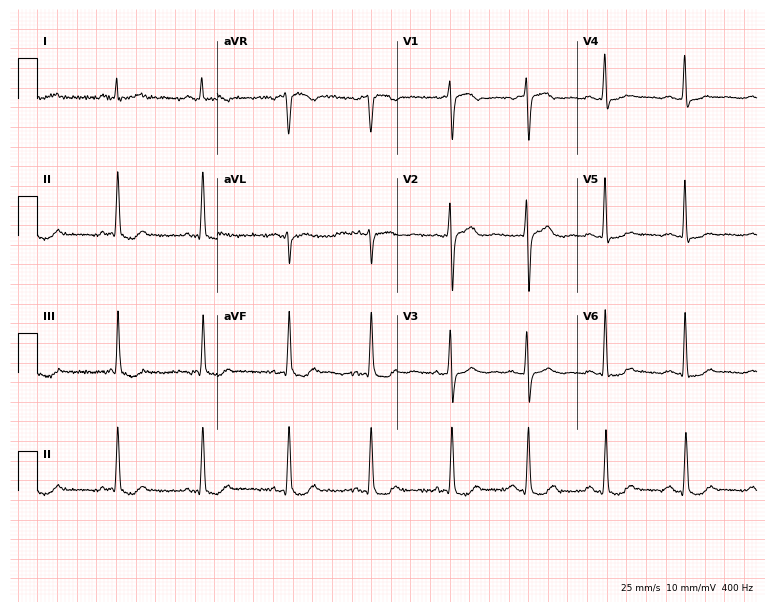
Standard 12-lead ECG recorded from a 55-year-old female patient. None of these six findings is recorded: first-degree AV block, right bundle branch block (RBBB), left bundle branch block (LBBB), sinus bradycardia, atrial fibrillation (AF), sinus tachycardia. Findings outside these six are not listed.